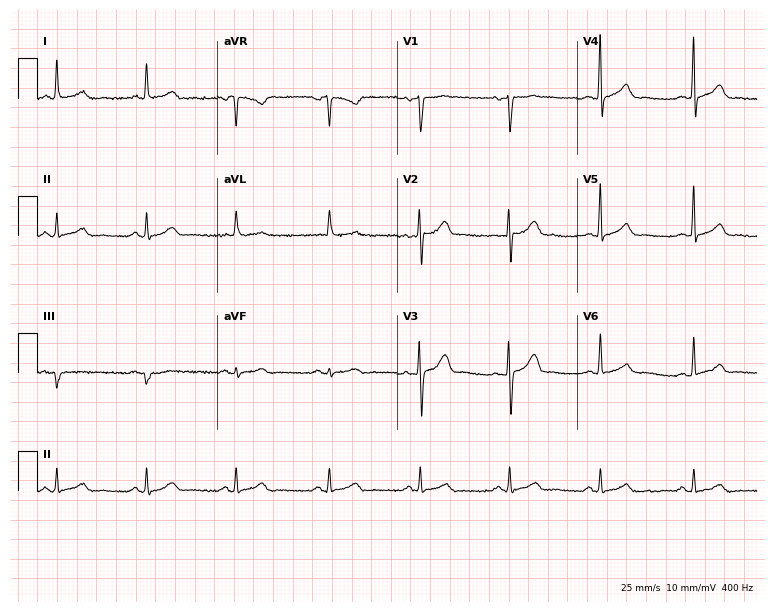
12-lead ECG (7.3-second recording at 400 Hz) from a male, 42 years old. Labelled as a normal ECG.